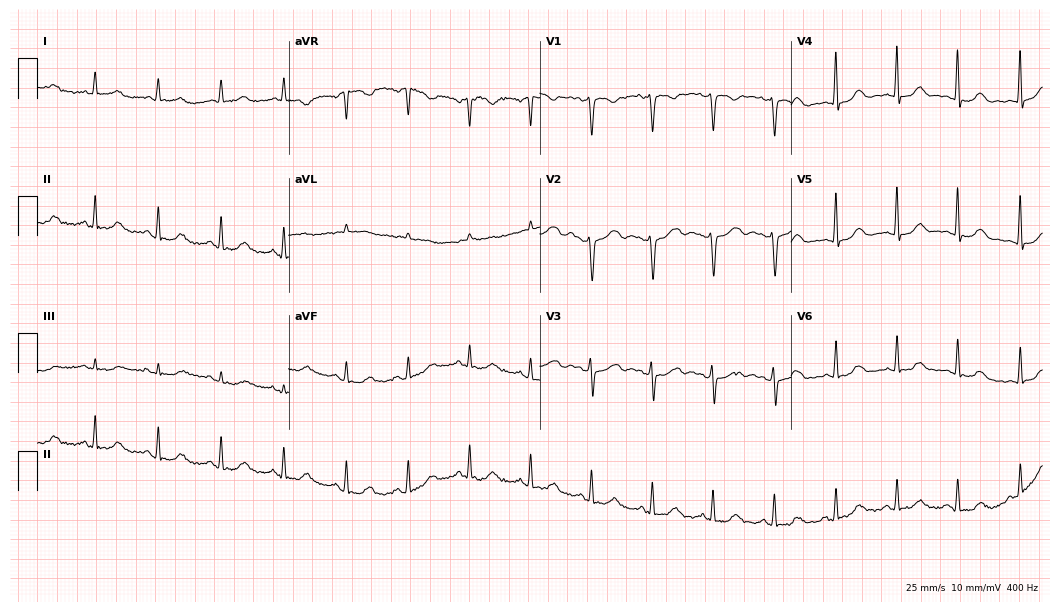
Electrocardiogram (10.2-second recording at 400 Hz), a female patient, 46 years old. Overall reading on record: normal ECG.